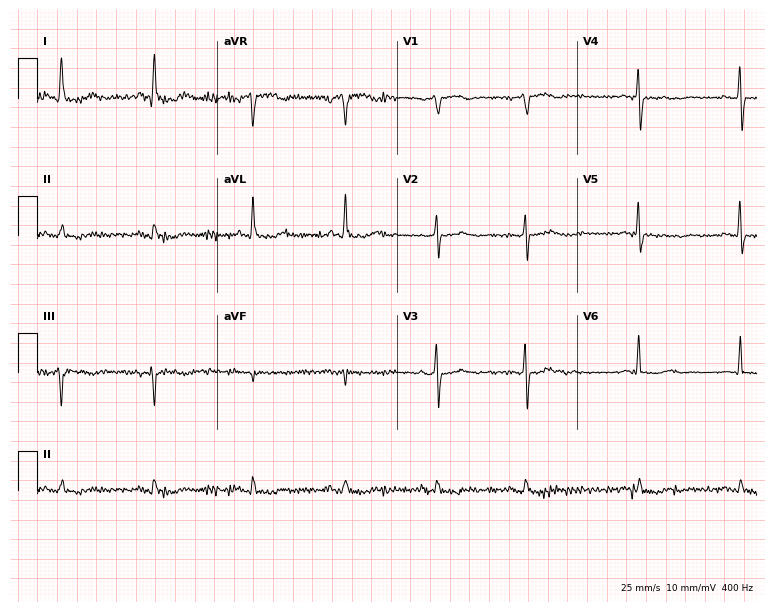
12-lead ECG from a female, 74 years old (7.3-second recording at 400 Hz). No first-degree AV block, right bundle branch block (RBBB), left bundle branch block (LBBB), sinus bradycardia, atrial fibrillation (AF) or sinus tachycardia recorded for this tracing. Only these six findings were labelled.